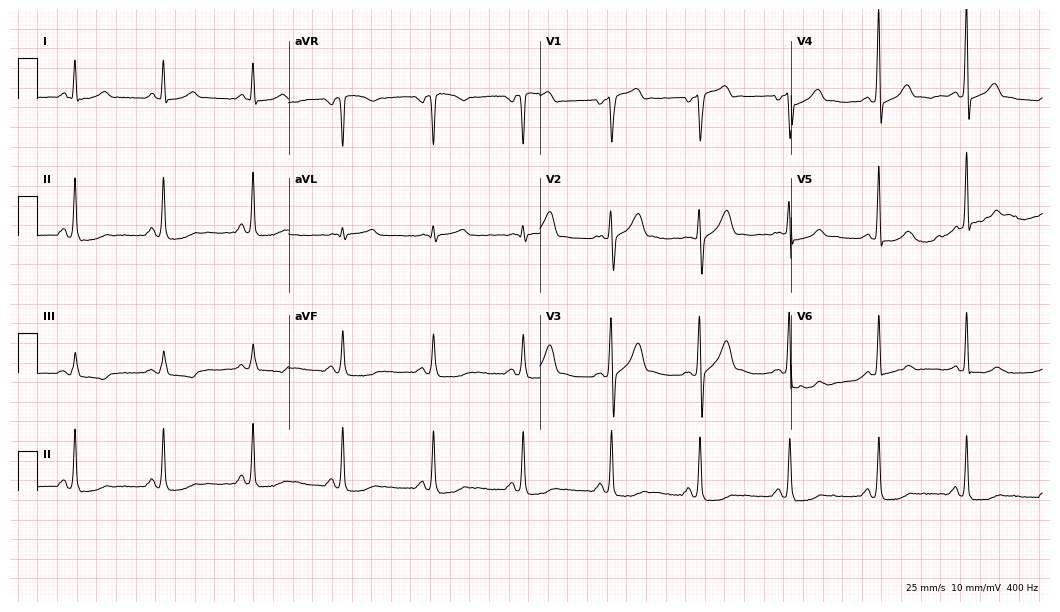
12-lead ECG (10.2-second recording at 400 Hz) from a man, 66 years old. Screened for six findings — first-degree AV block, right bundle branch block, left bundle branch block, sinus bradycardia, atrial fibrillation, sinus tachycardia — none is recorded.